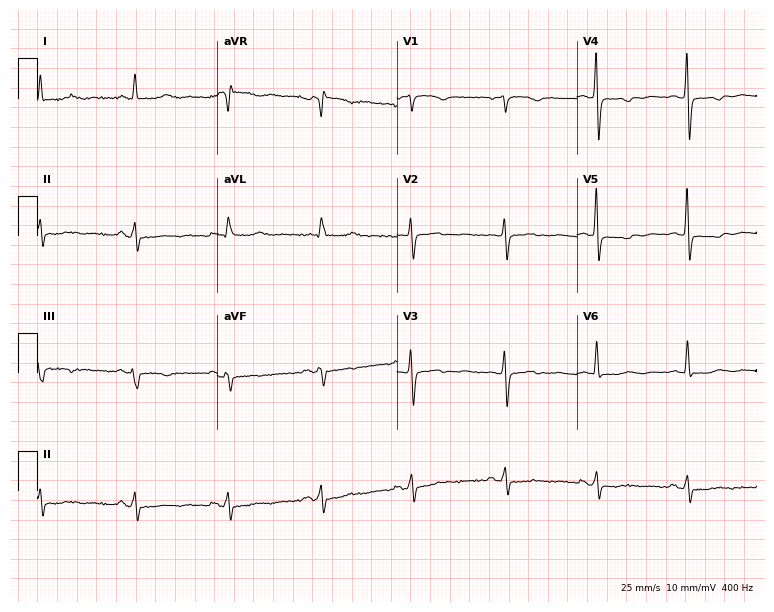
12-lead ECG from a female patient, 64 years old. Screened for six findings — first-degree AV block, right bundle branch block, left bundle branch block, sinus bradycardia, atrial fibrillation, sinus tachycardia — none is recorded. Other findings, if any, are not listed.